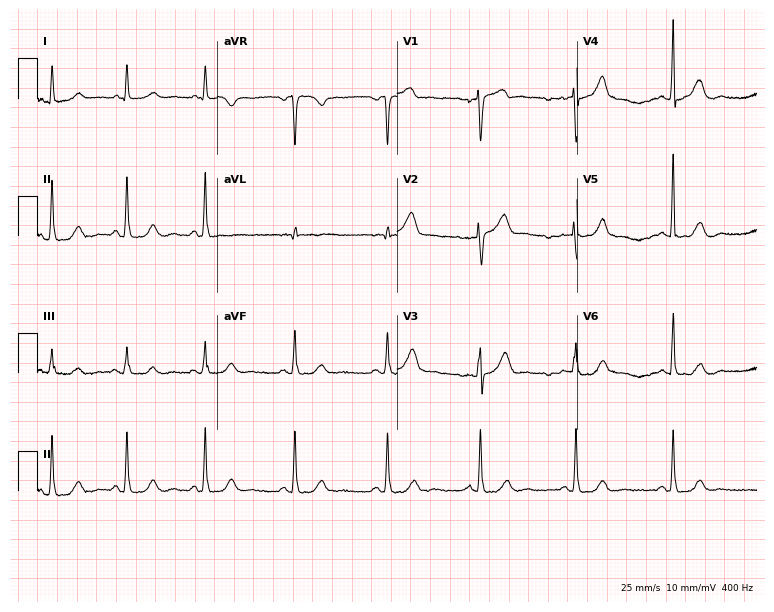
Electrocardiogram (7.3-second recording at 400 Hz), a female, 53 years old. Overall reading on record: normal ECG.